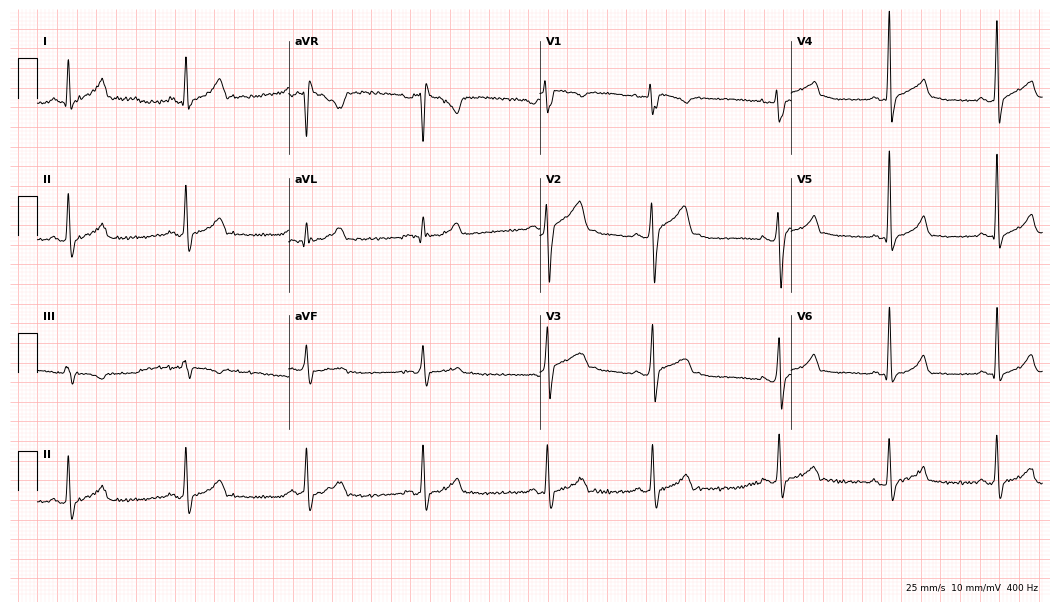
ECG — a male, 20 years old. Screened for six findings — first-degree AV block, right bundle branch block (RBBB), left bundle branch block (LBBB), sinus bradycardia, atrial fibrillation (AF), sinus tachycardia — none is recorded. Other findings, if any, are not listed.